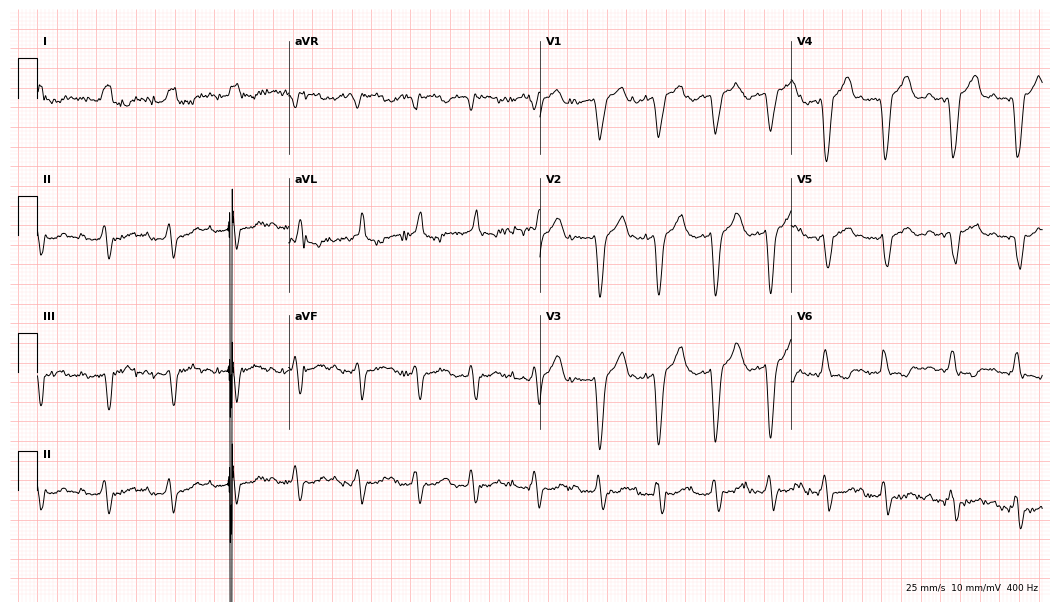
Standard 12-lead ECG recorded from a woman, 76 years old (10.2-second recording at 400 Hz). None of these six findings is recorded: first-degree AV block, right bundle branch block, left bundle branch block, sinus bradycardia, atrial fibrillation, sinus tachycardia. Findings outside these six are not listed.